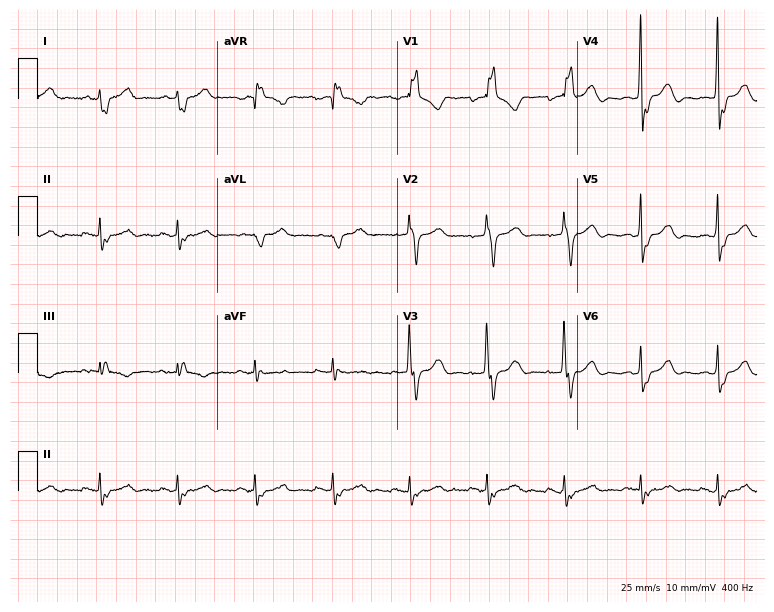
ECG — a 53-year-old male patient. Findings include right bundle branch block.